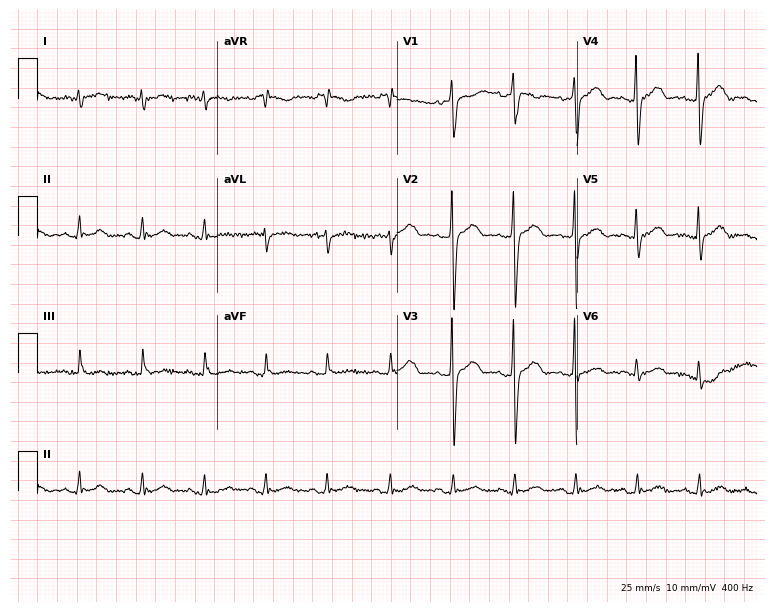
Resting 12-lead electrocardiogram. Patient: a male, 40 years old. Read as a normal ECG.